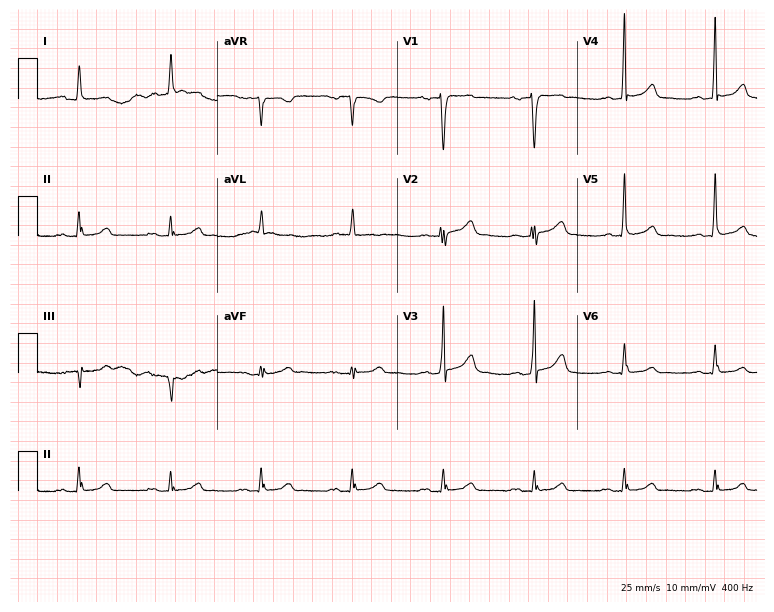
Resting 12-lead electrocardiogram (7.3-second recording at 400 Hz). Patient: a 75-year-old male. Read as a normal ECG.